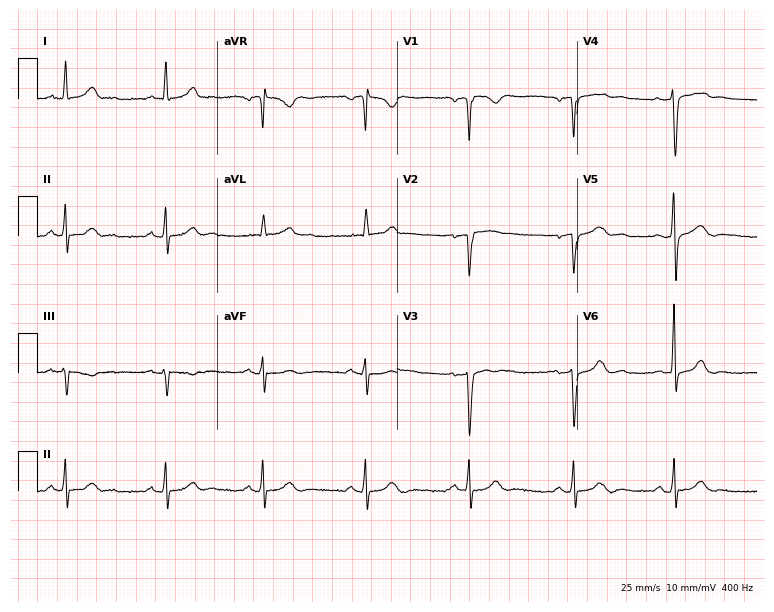
Electrocardiogram (7.3-second recording at 400 Hz), a 37-year-old male. Of the six screened findings (first-degree AV block, right bundle branch block, left bundle branch block, sinus bradycardia, atrial fibrillation, sinus tachycardia), none is recorded.